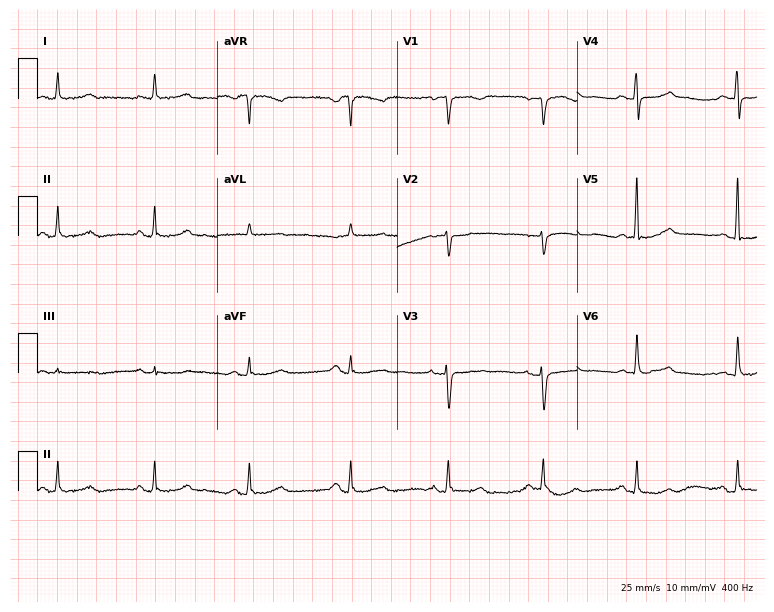
ECG — an 81-year-old female patient. Screened for six findings — first-degree AV block, right bundle branch block, left bundle branch block, sinus bradycardia, atrial fibrillation, sinus tachycardia — none is recorded. Findings outside these six are not listed.